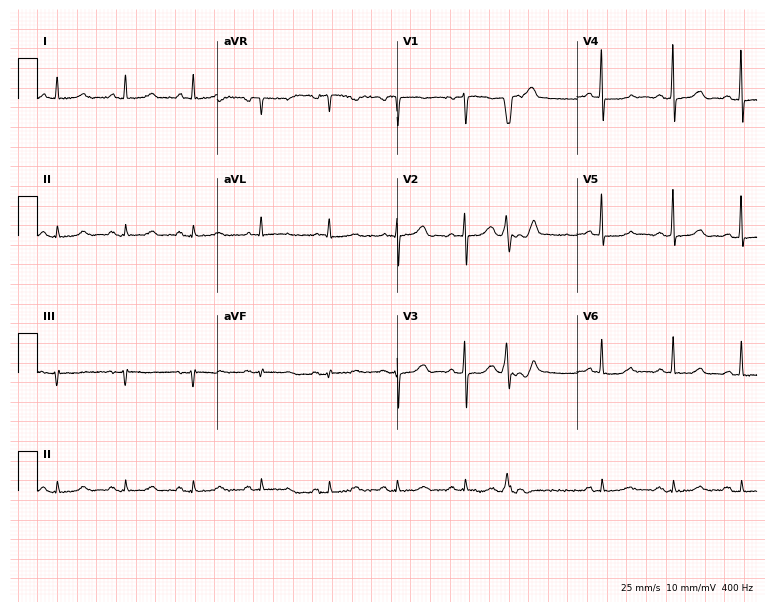
Electrocardiogram (7.3-second recording at 400 Hz), a woman, 81 years old. Of the six screened findings (first-degree AV block, right bundle branch block, left bundle branch block, sinus bradycardia, atrial fibrillation, sinus tachycardia), none is recorded. Other findings, if any, are not listed.